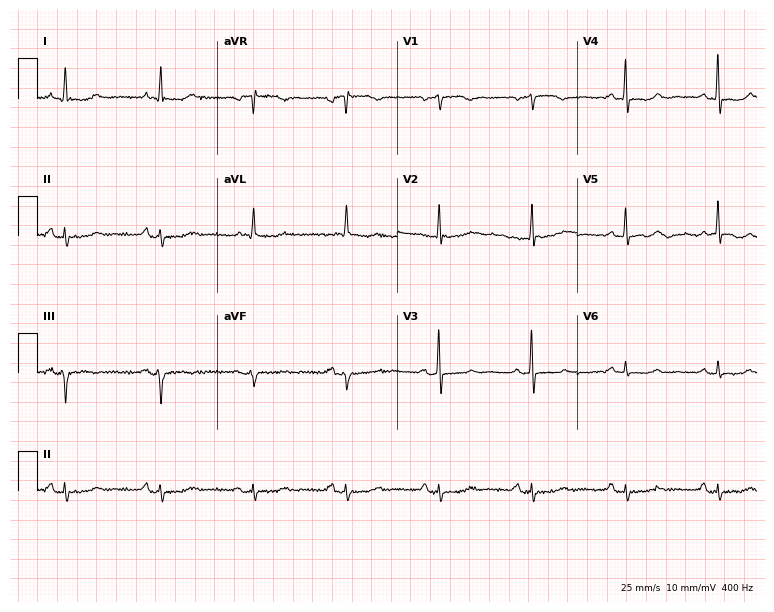
Electrocardiogram, an 80-year-old female. Of the six screened findings (first-degree AV block, right bundle branch block (RBBB), left bundle branch block (LBBB), sinus bradycardia, atrial fibrillation (AF), sinus tachycardia), none is recorded. Other findings, if any, are not listed.